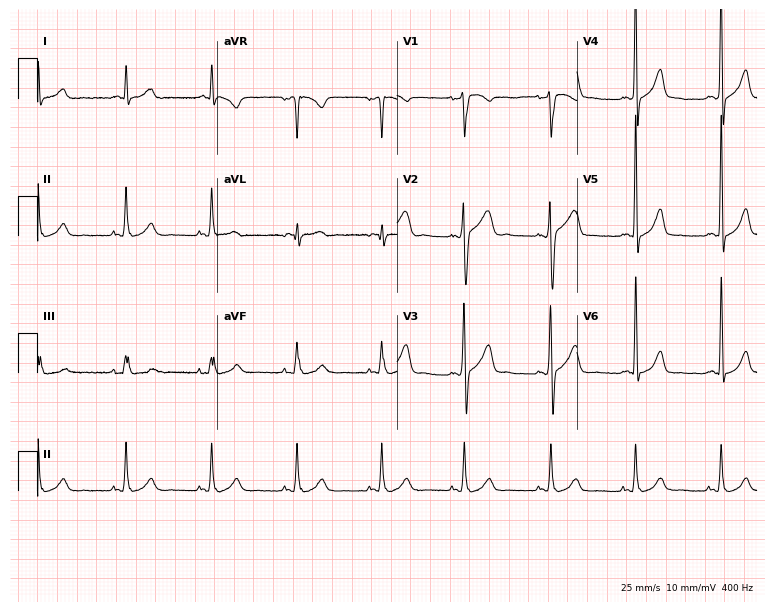
Resting 12-lead electrocardiogram (7.3-second recording at 400 Hz). Patient: a 36-year-old male. None of these six findings is recorded: first-degree AV block, right bundle branch block, left bundle branch block, sinus bradycardia, atrial fibrillation, sinus tachycardia. Findings outside these six are not listed.